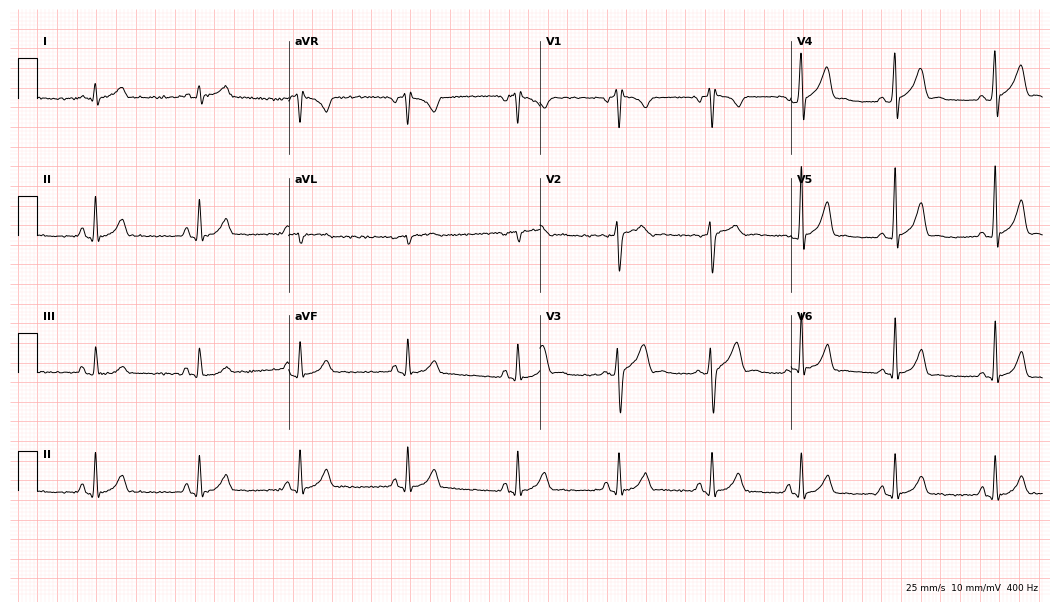
ECG — a man, 30 years old. Labelled as a normal ECG.